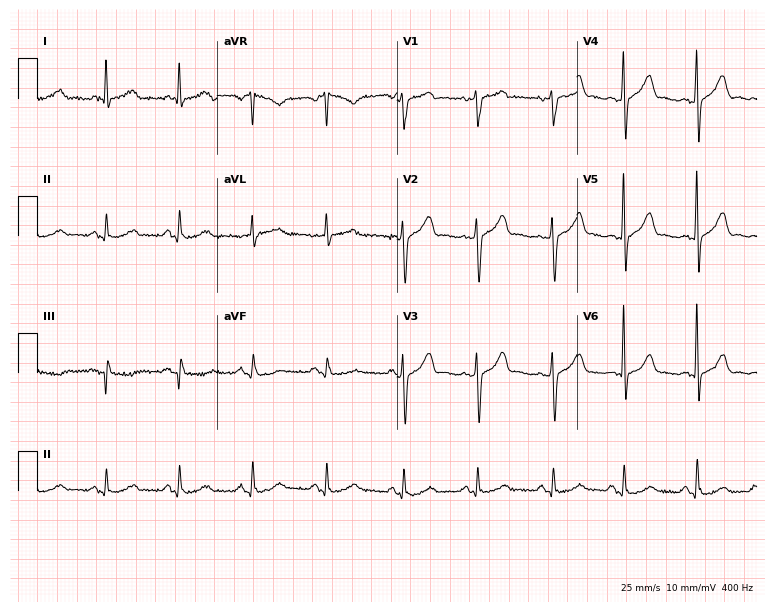
Standard 12-lead ECG recorded from a male patient, 67 years old. Read as a normal ECG.